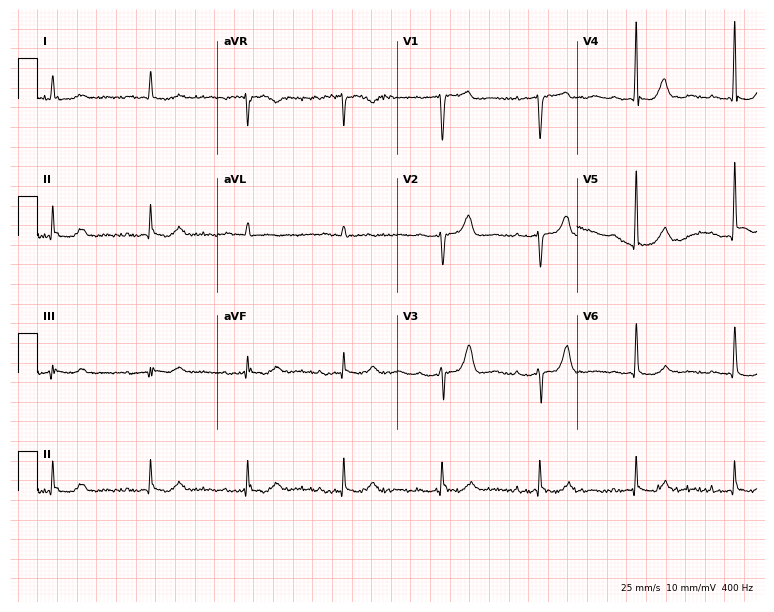
Electrocardiogram (7.3-second recording at 400 Hz), a man, 81 years old. Interpretation includes first-degree AV block.